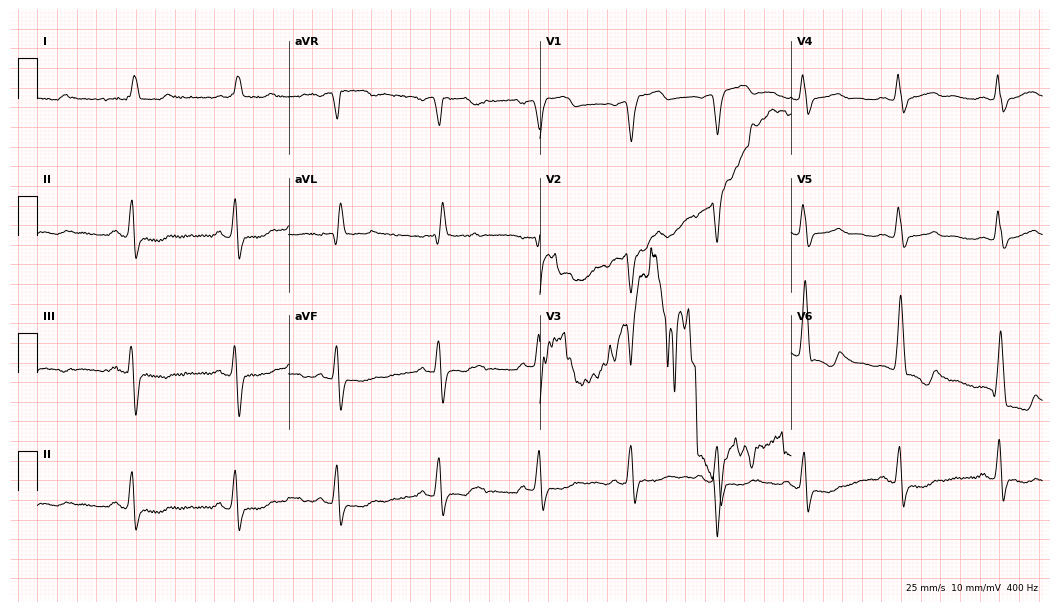
12-lead ECG from a man, 82 years old. Shows left bundle branch block.